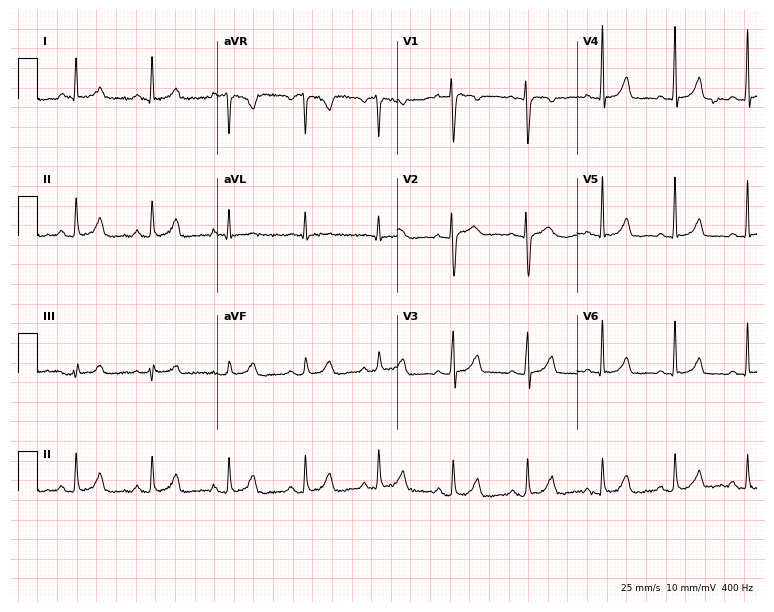
12-lead ECG from a female patient, 56 years old. Labelled as a normal ECG.